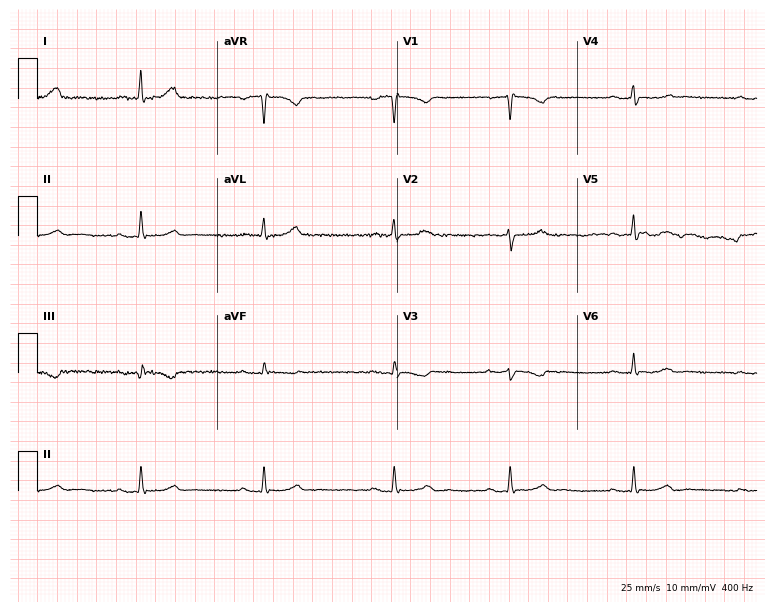
12-lead ECG from a 36-year-old female. Findings include first-degree AV block, sinus bradycardia (a sinus rate of 50 beats per minute or less).